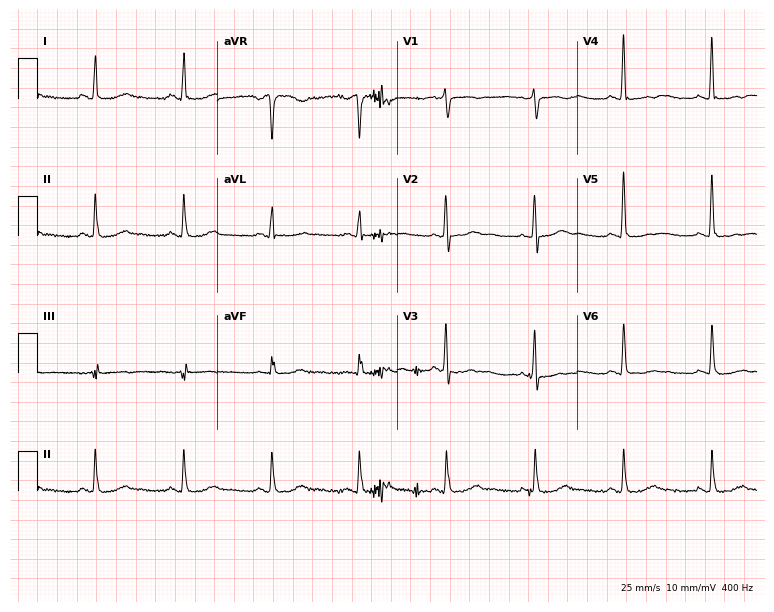
Standard 12-lead ECG recorded from a female, 50 years old (7.3-second recording at 400 Hz). None of these six findings is recorded: first-degree AV block, right bundle branch block, left bundle branch block, sinus bradycardia, atrial fibrillation, sinus tachycardia. Other findings, if any, are not listed.